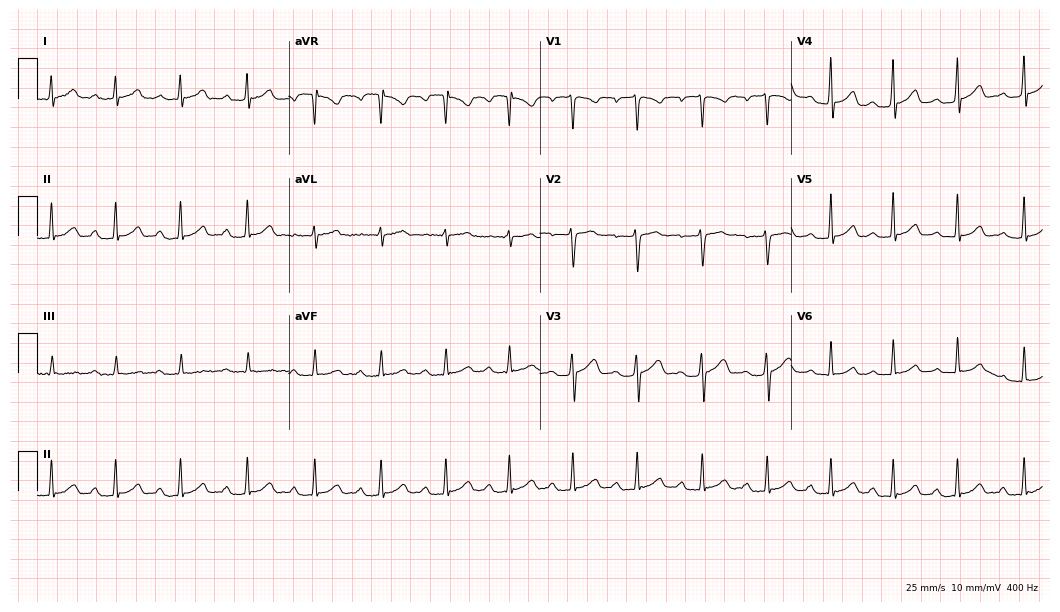
Resting 12-lead electrocardiogram (10.2-second recording at 400 Hz). Patient: a 24-year-old woman. The tracing shows first-degree AV block.